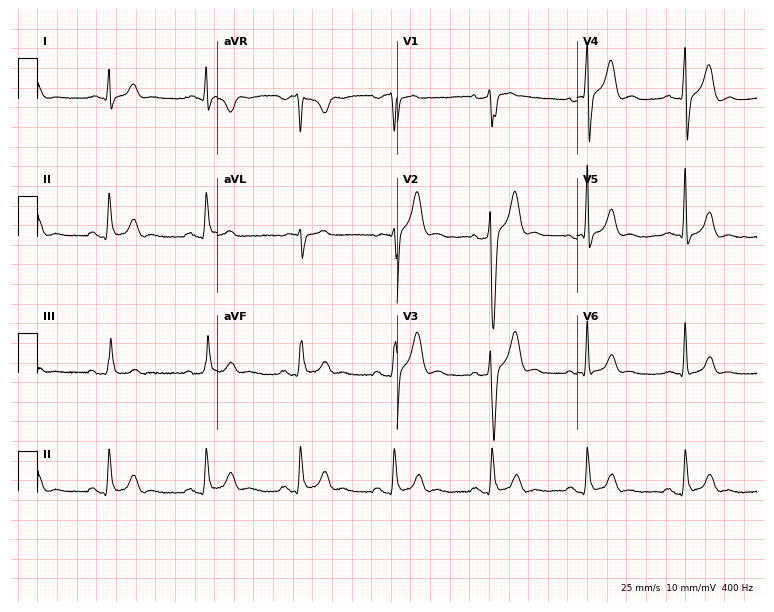
ECG (7.3-second recording at 400 Hz) — a 40-year-old male. Screened for six findings — first-degree AV block, right bundle branch block (RBBB), left bundle branch block (LBBB), sinus bradycardia, atrial fibrillation (AF), sinus tachycardia — none is recorded.